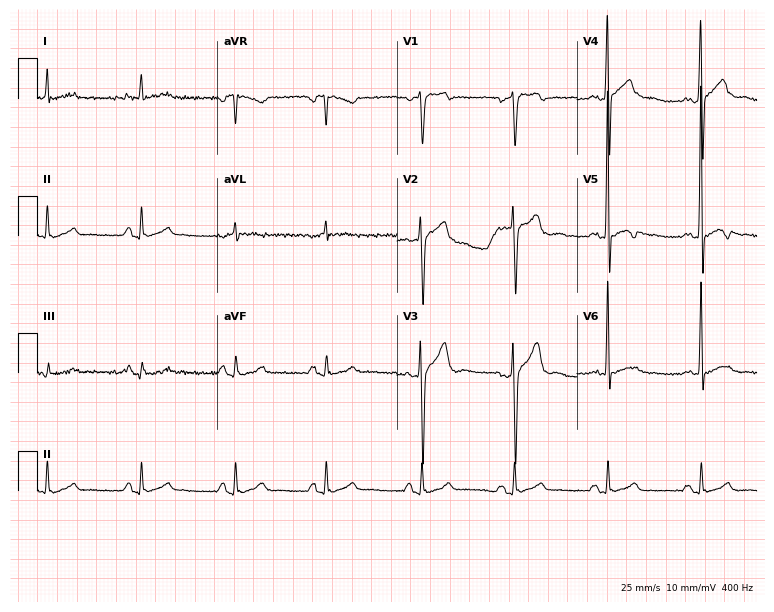
Electrocardiogram (7.3-second recording at 400 Hz), a 46-year-old male. Of the six screened findings (first-degree AV block, right bundle branch block, left bundle branch block, sinus bradycardia, atrial fibrillation, sinus tachycardia), none is recorded.